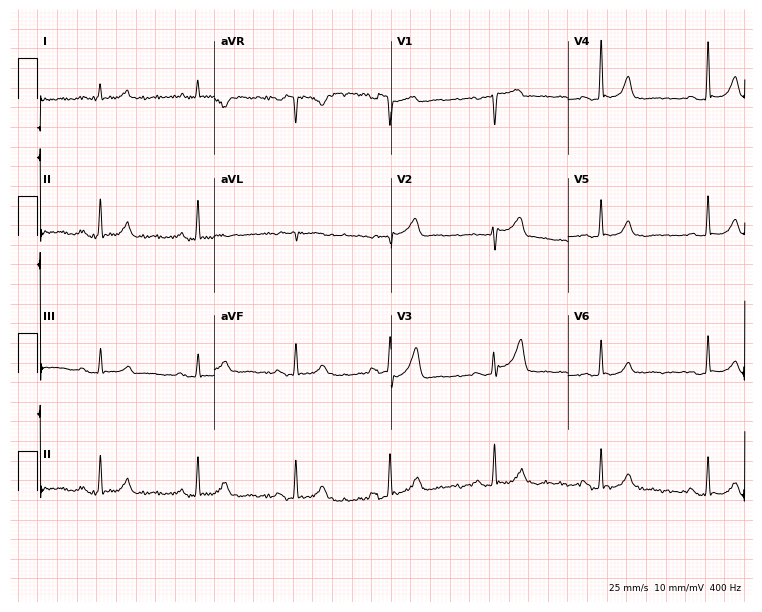
12-lead ECG (7.2-second recording at 400 Hz) from a woman, 48 years old. Screened for six findings — first-degree AV block, right bundle branch block, left bundle branch block, sinus bradycardia, atrial fibrillation, sinus tachycardia — none is recorded.